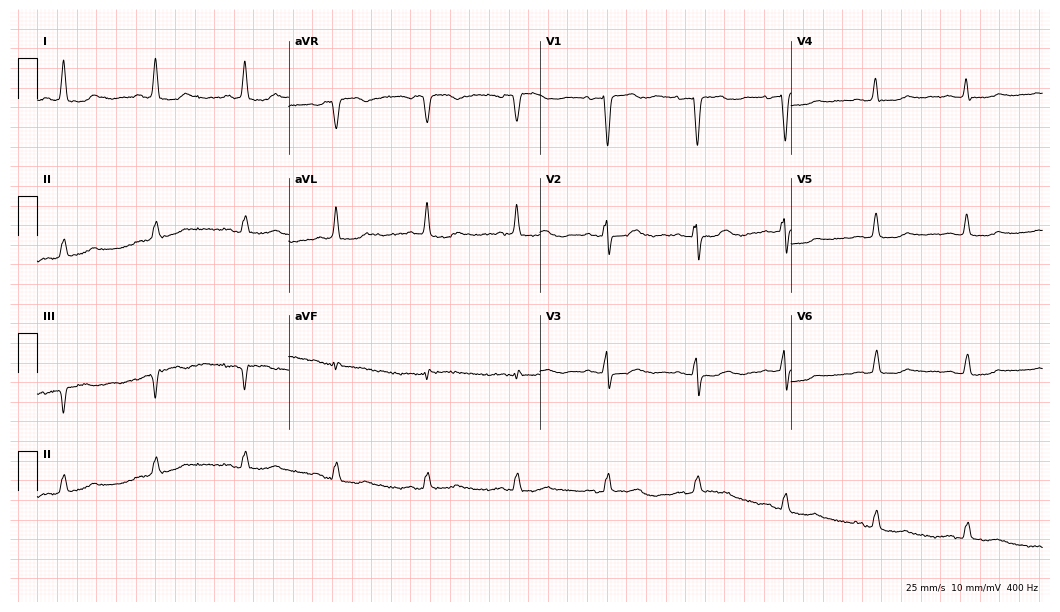
12-lead ECG from a 75-year-old woman (10.2-second recording at 400 Hz). No first-degree AV block, right bundle branch block, left bundle branch block, sinus bradycardia, atrial fibrillation or sinus tachycardia recorded for this tracing.